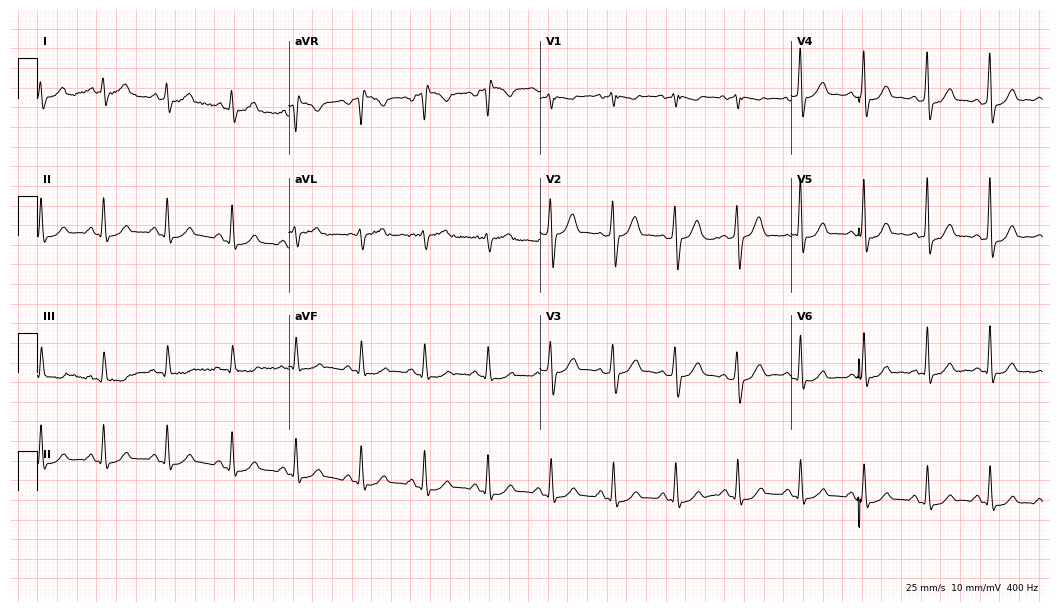
Resting 12-lead electrocardiogram. Patient: a 56-year-old man. Read as a normal ECG.